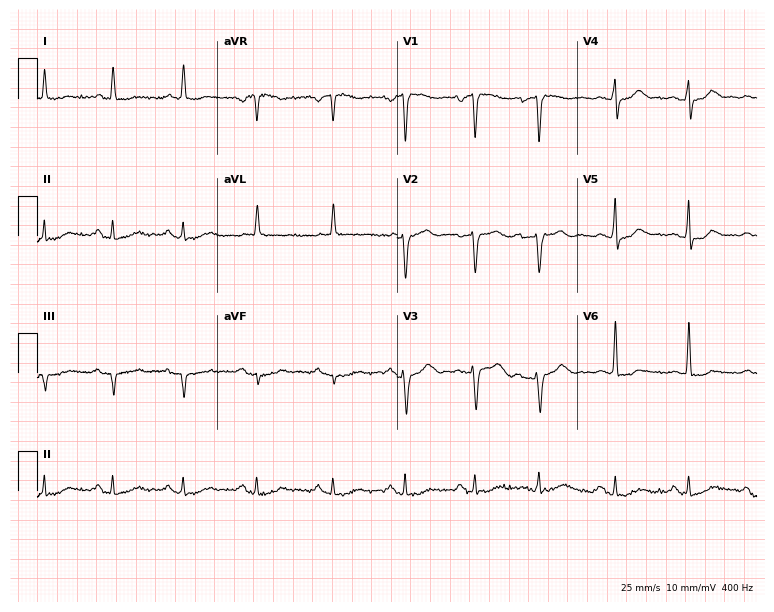
12-lead ECG from a male, 62 years old. No first-degree AV block, right bundle branch block (RBBB), left bundle branch block (LBBB), sinus bradycardia, atrial fibrillation (AF) or sinus tachycardia recorded for this tracing. Findings outside these six are not listed.